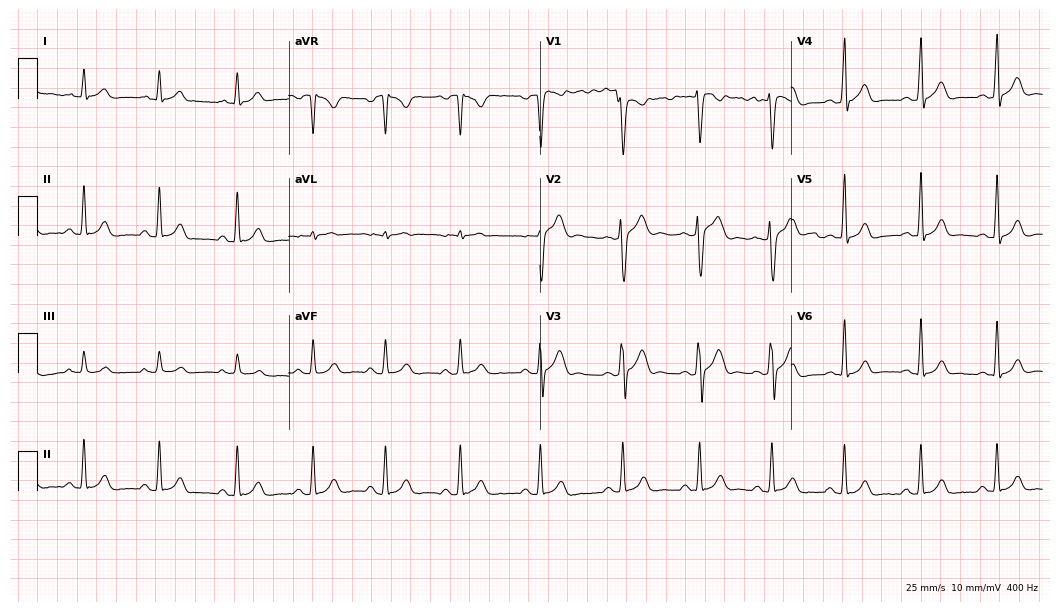
Resting 12-lead electrocardiogram. Patient: a 24-year-old male. Read as a normal ECG.